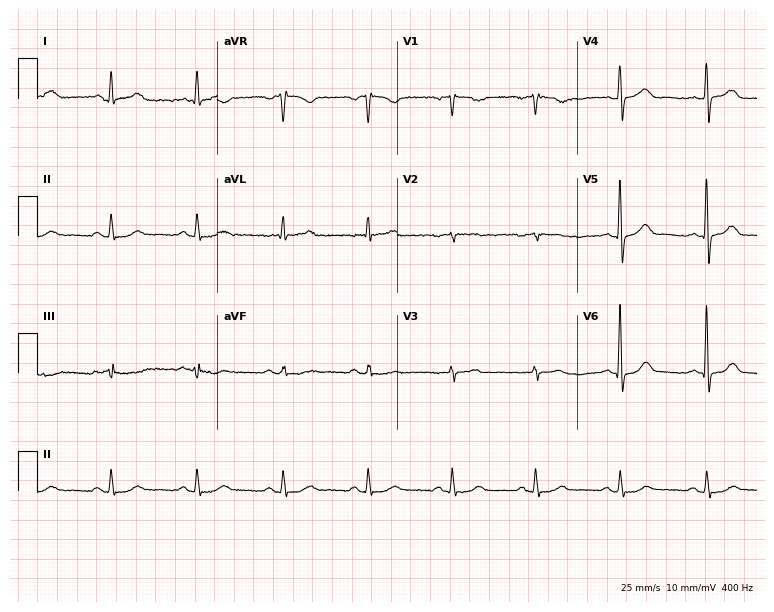
Standard 12-lead ECG recorded from a 68-year-old female (7.3-second recording at 400 Hz). Read as a normal ECG.